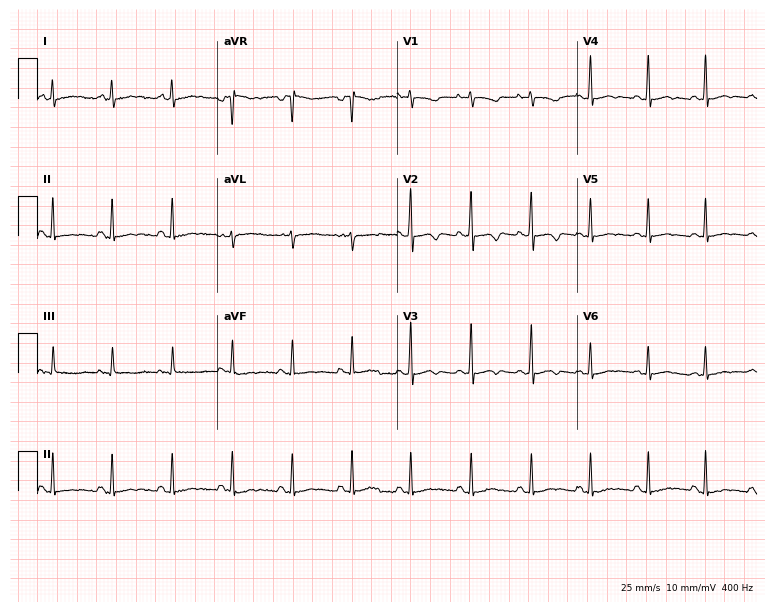
12-lead ECG (7.3-second recording at 400 Hz) from an 18-year-old female patient. Screened for six findings — first-degree AV block, right bundle branch block (RBBB), left bundle branch block (LBBB), sinus bradycardia, atrial fibrillation (AF), sinus tachycardia — none is recorded. Findings outside these six are not listed.